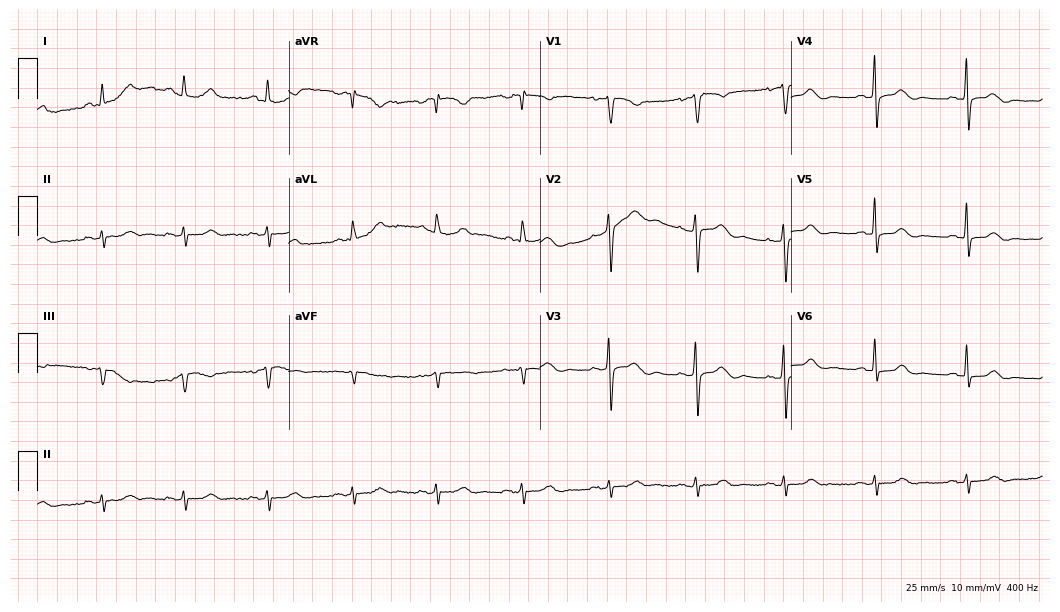
12-lead ECG (10.2-second recording at 400 Hz) from a 73-year-old female patient. Screened for six findings — first-degree AV block, right bundle branch block, left bundle branch block, sinus bradycardia, atrial fibrillation, sinus tachycardia — none is recorded.